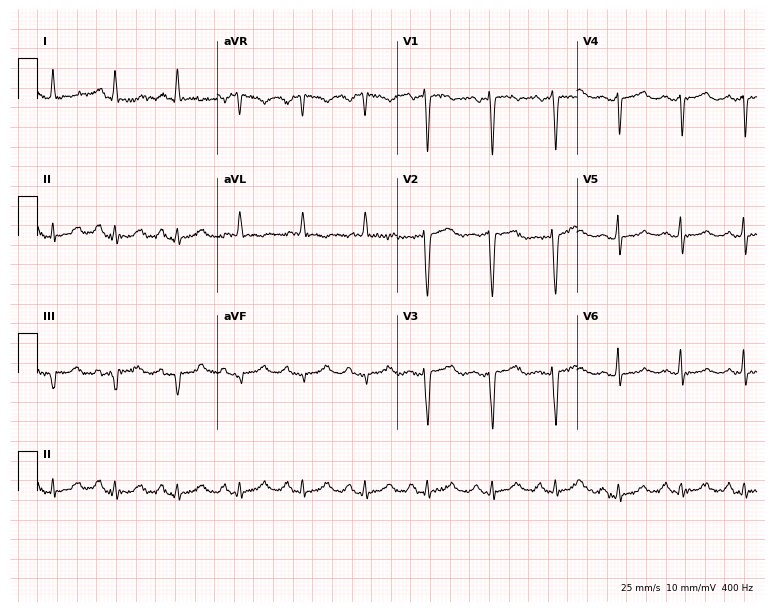
Electrocardiogram (7.3-second recording at 400 Hz), a 65-year-old female. Of the six screened findings (first-degree AV block, right bundle branch block, left bundle branch block, sinus bradycardia, atrial fibrillation, sinus tachycardia), none is recorded.